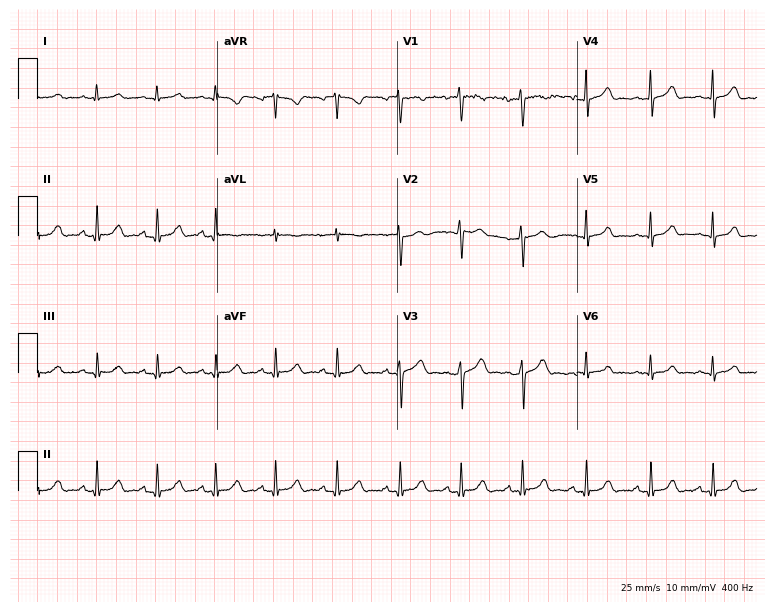
Resting 12-lead electrocardiogram. Patient: a 32-year-old woman. Read as a normal ECG.